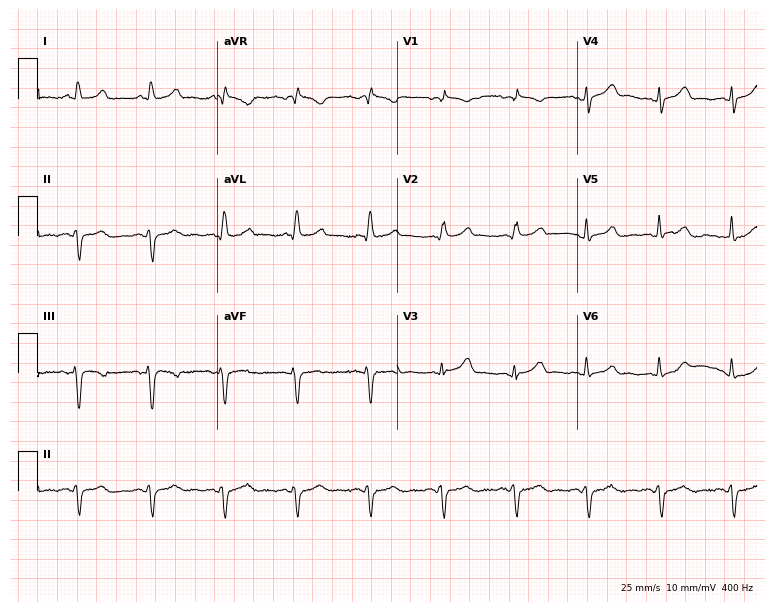
12-lead ECG from a female, 55 years old (7.3-second recording at 400 Hz). No first-degree AV block, right bundle branch block (RBBB), left bundle branch block (LBBB), sinus bradycardia, atrial fibrillation (AF) or sinus tachycardia recorded for this tracing. Findings outside these six are not listed.